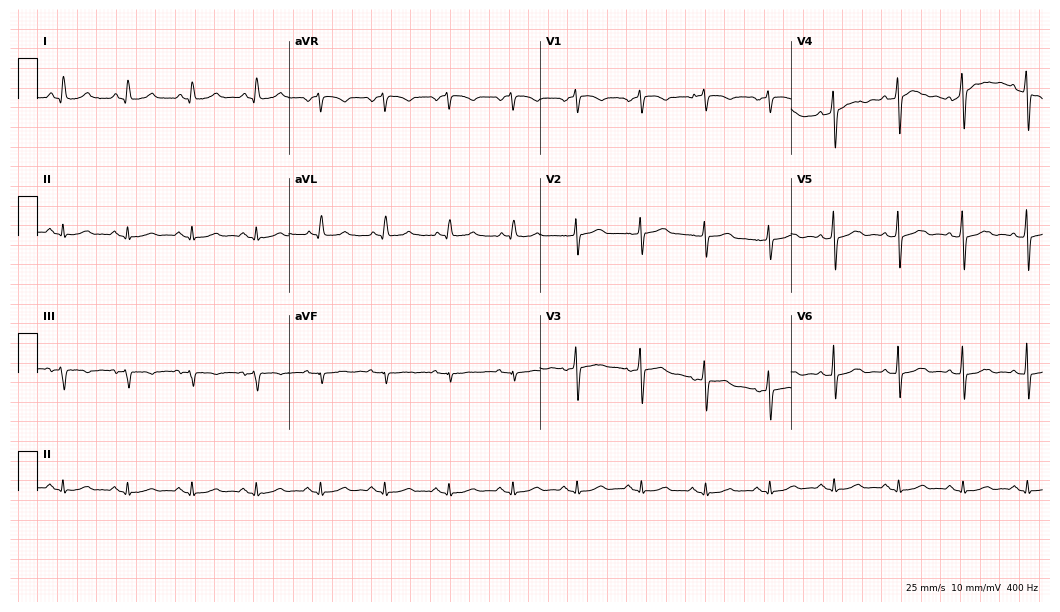
Standard 12-lead ECG recorded from a female, 80 years old (10.2-second recording at 400 Hz). Read as a normal ECG.